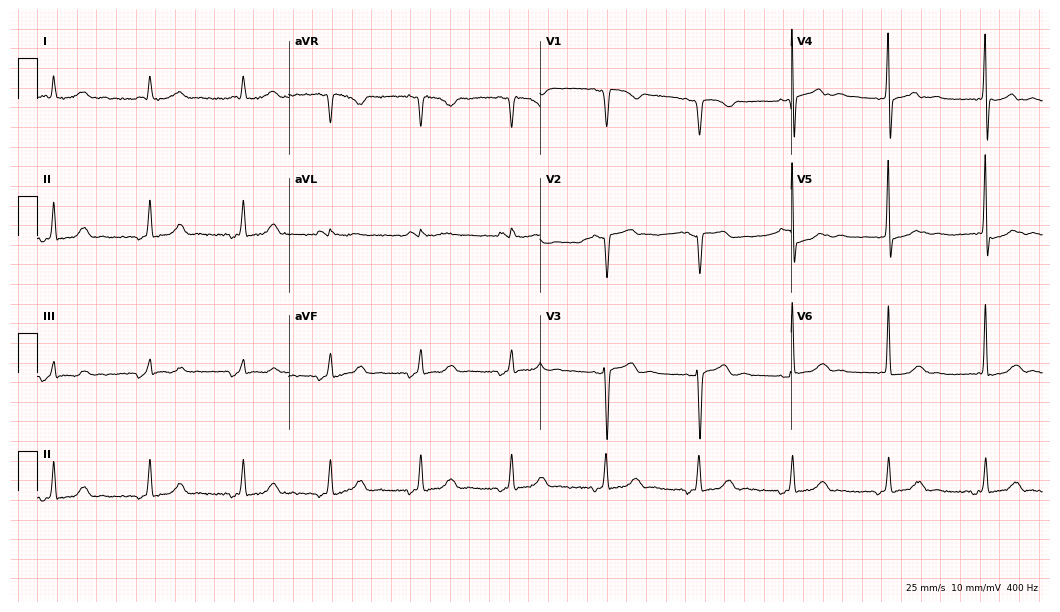
ECG — a 51-year-old female patient. Screened for six findings — first-degree AV block, right bundle branch block, left bundle branch block, sinus bradycardia, atrial fibrillation, sinus tachycardia — none is recorded.